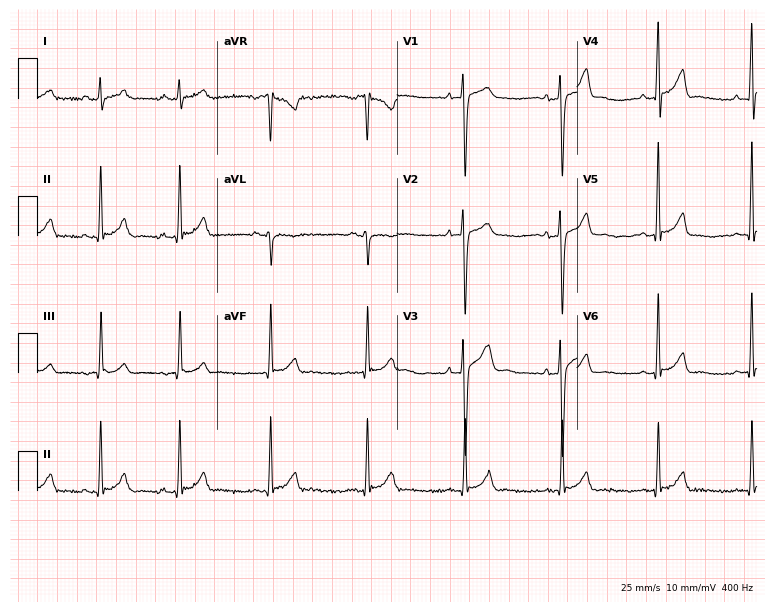
12-lead ECG (7.3-second recording at 400 Hz) from a 23-year-old male patient. Labelled as a normal ECG.